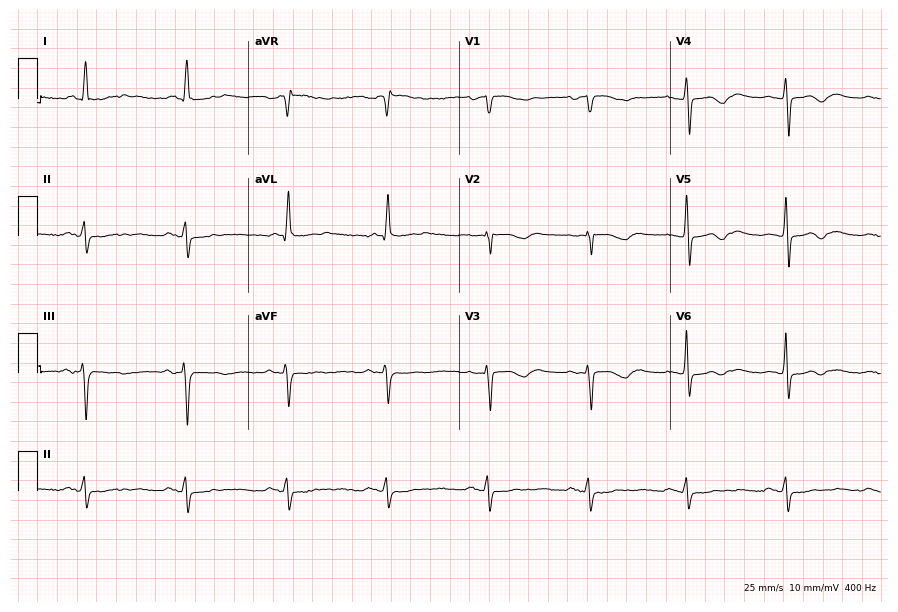
12-lead ECG from a female, 69 years old. No first-degree AV block, right bundle branch block, left bundle branch block, sinus bradycardia, atrial fibrillation or sinus tachycardia recorded for this tracing.